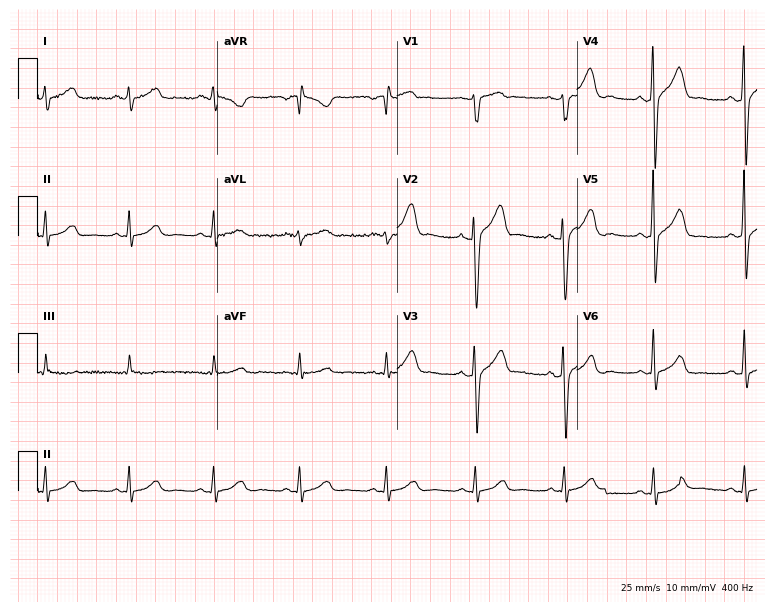
Standard 12-lead ECG recorded from a male patient, 39 years old (7.3-second recording at 400 Hz). Read as a normal ECG.